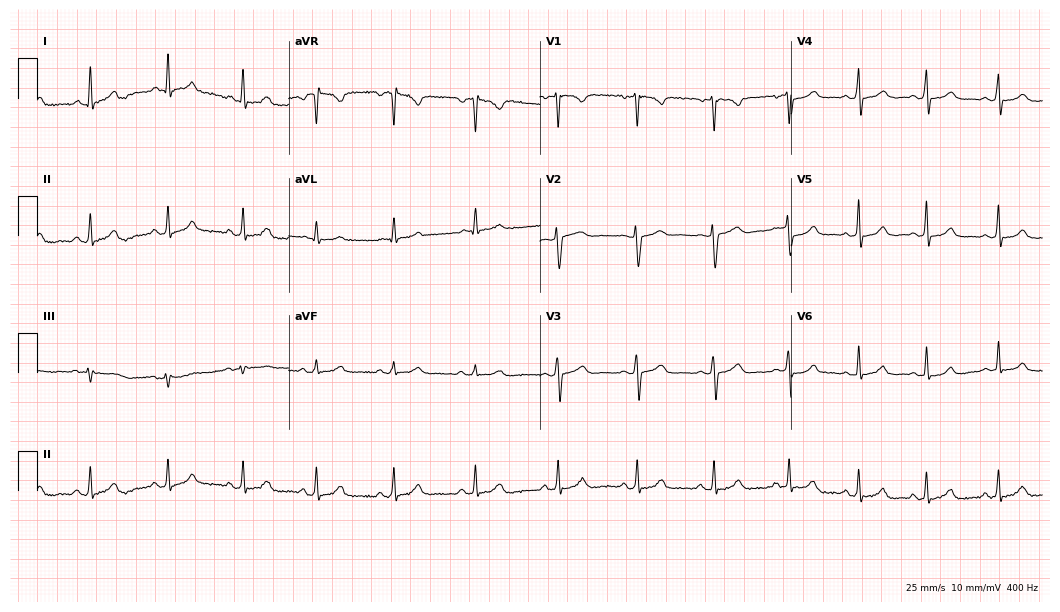
Resting 12-lead electrocardiogram. Patient: a 39-year-old woman. None of these six findings is recorded: first-degree AV block, right bundle branch block, left bundle branch block, sinus bradycardia, atrial fibrillation, sinus tachycardia. Other findings, if any, are not listed.